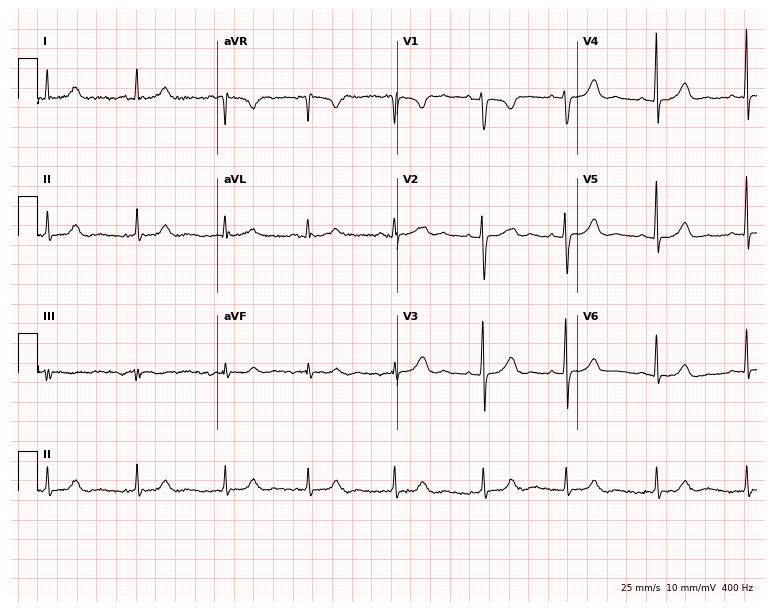
12-lead ECG from a 21-year-old female patient. Labelled as a normal ECG.